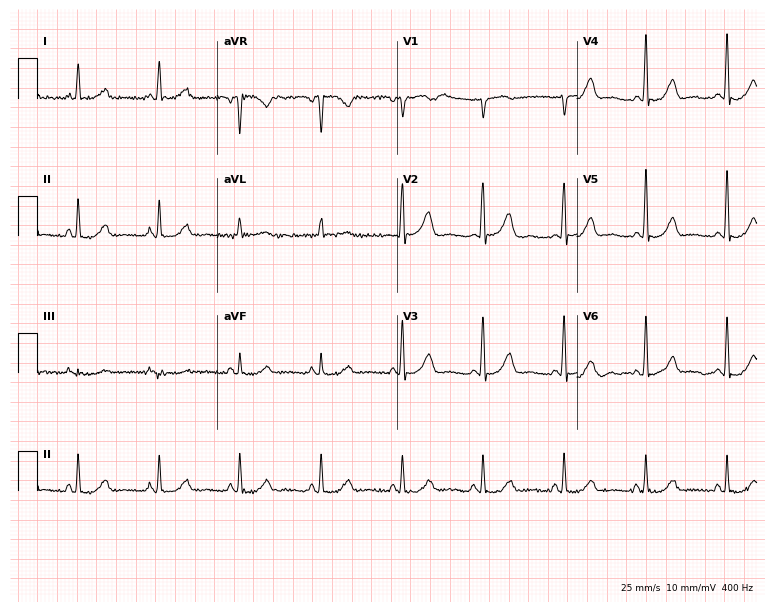
Standard 12-lead ECG recorded from a 63-year-old female. Read as a normal ECG.